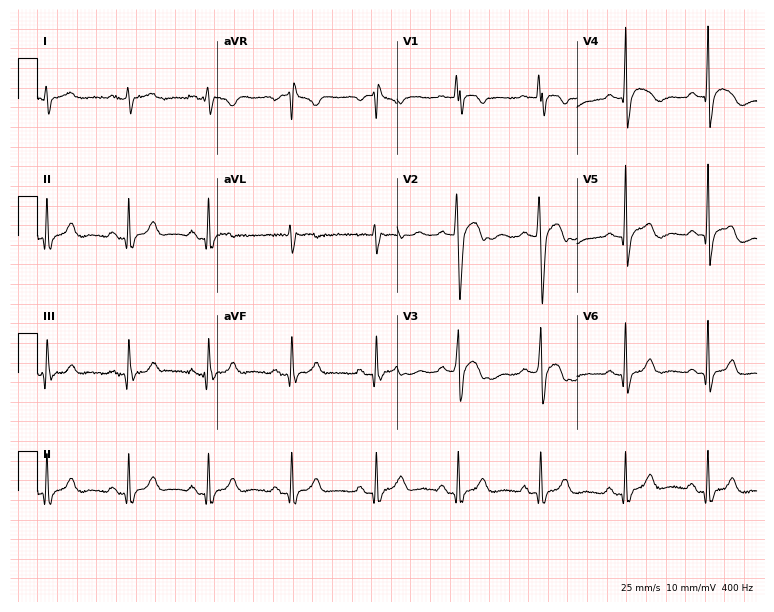
12-lead ECG from a 22-year-old man (7.3-second recording at 400 Hz). No first-degree AV block, right bundle branch block, left bundle branch block, sinus bradycardia, atrial fibrillation or sinus tachycardia recorded for this tracing. Only these six findings were labelled.